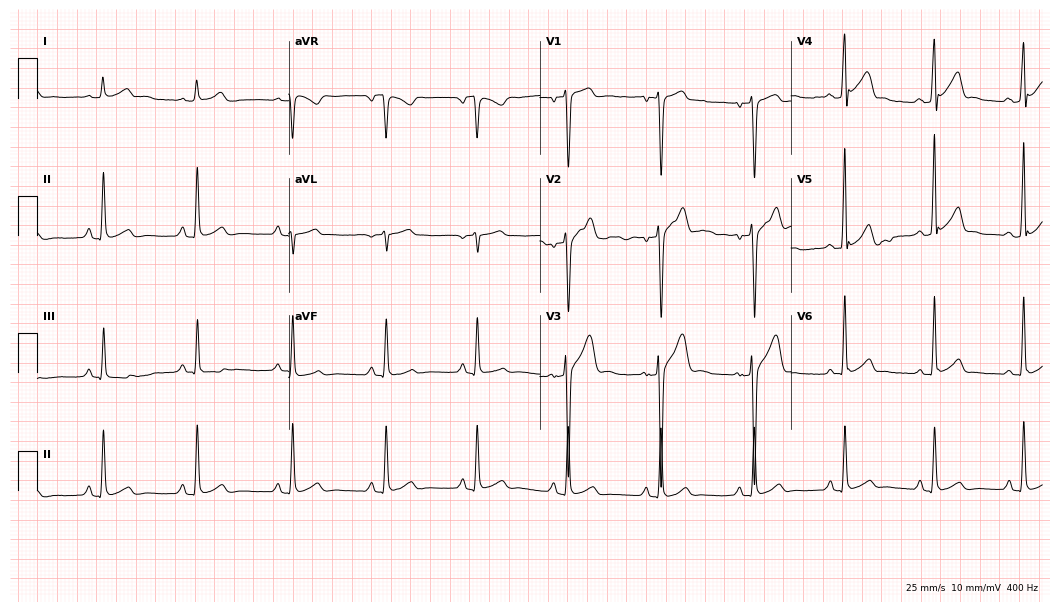
Standard 12-lead ECG recorded from a 29-year-old male. Read as a normal ECG.